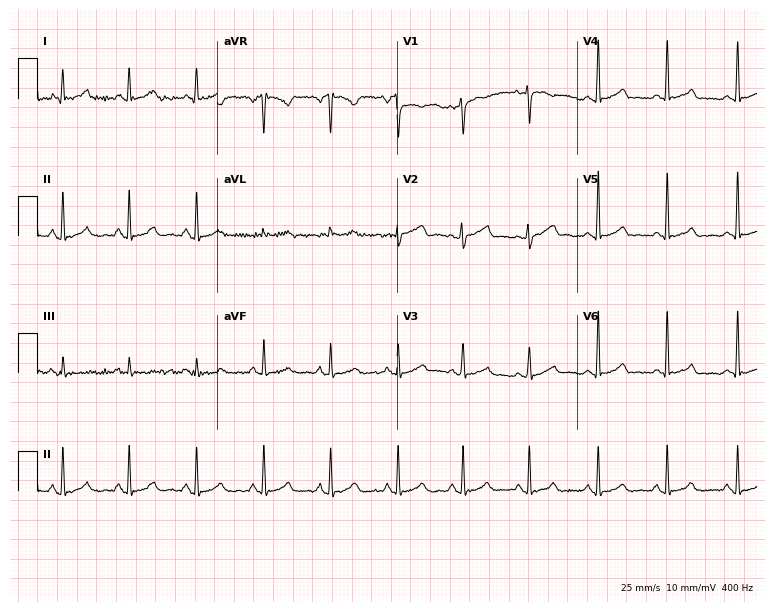
Resting 12-lead electrocardiogram (7.3-second recording at 400 Hz). Patient: a woman, 42 years old. Read as a normal ECG.